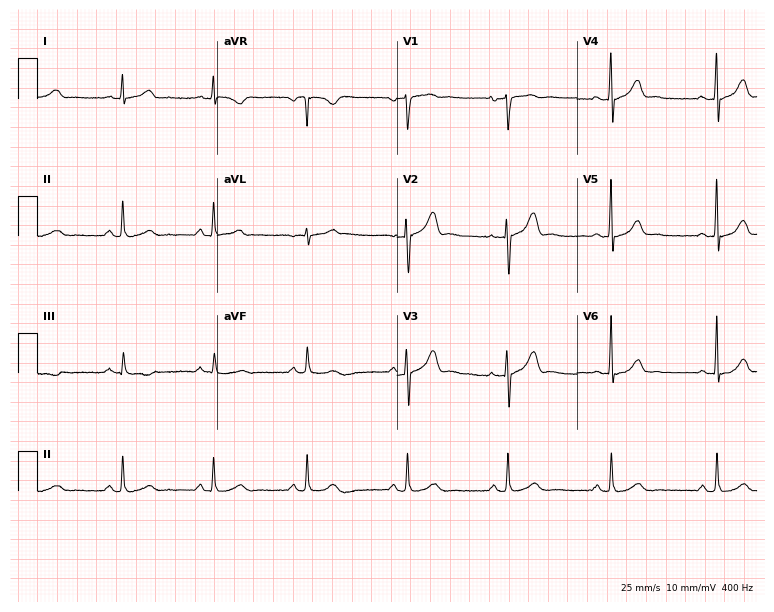
Resting 12-lead electrocardiogram (7.3-second recording at 400 Hz). Patient: a 51-year-old male. None of these six findings is recorded: first-degree AV block, right bundle branch block, left bundle branch block, sinus bradycardia, atrial fibrillation, sinus tachycardia. Other findings, if any, are not listed.